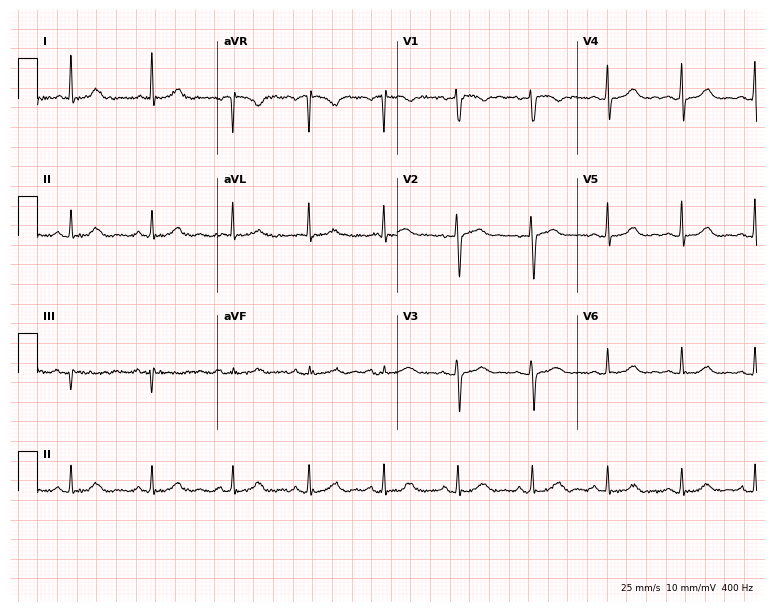
Electrocardiogram, a woman, 78 years old. Overall reading on record: normal ECG.